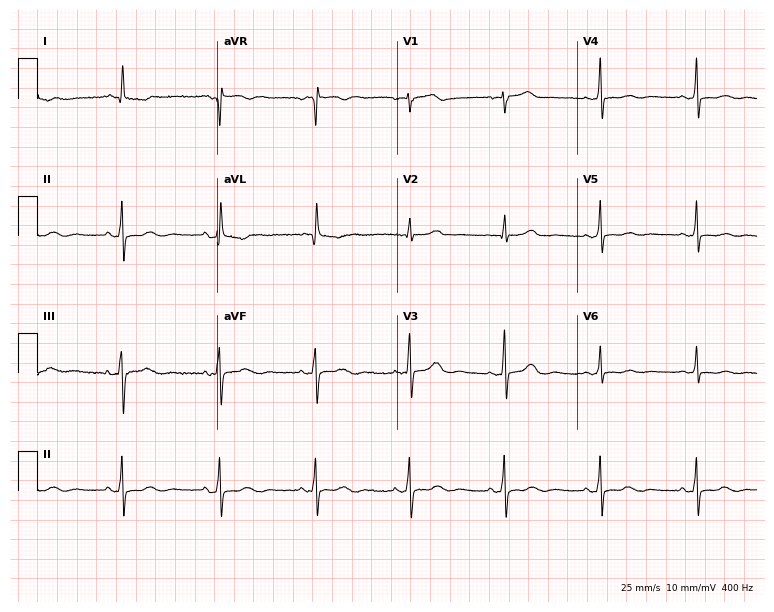
12-lead ECG (7.3-second recording at 400 Hz) from an 82-year-old woman. Screened for six findings — first-degree AV block, right bundle branch block (RBBB), left bundle branch block (LBBB), sinus bradycardia, atrial fibrillation (AF), sinus tachycardia — none is recorded.